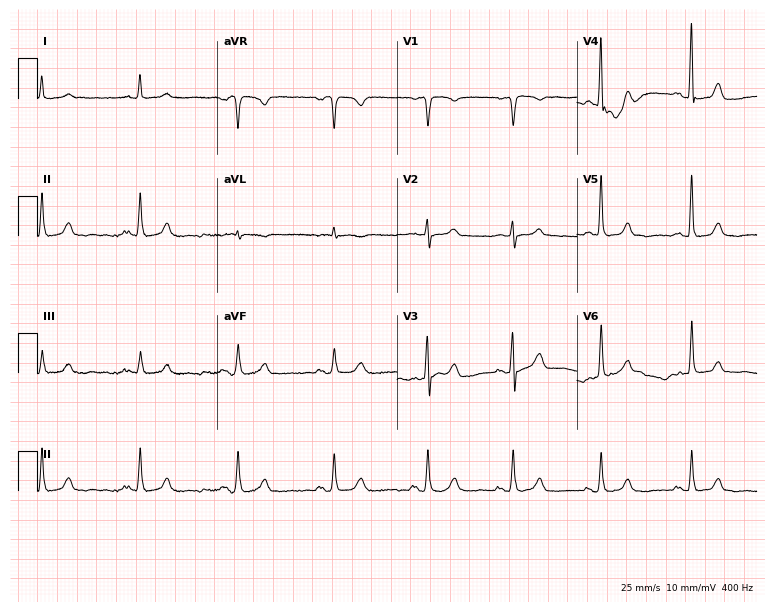
Electrocardiogram (7.3-second recording at 400 Hz), a 79-year-old male. Of the six screened findings (first-degree AV block, right bundle branch block, left bundle branch block, sinus bradycardia, atrial fibrillation, sinus tachycardia), none is recorded.